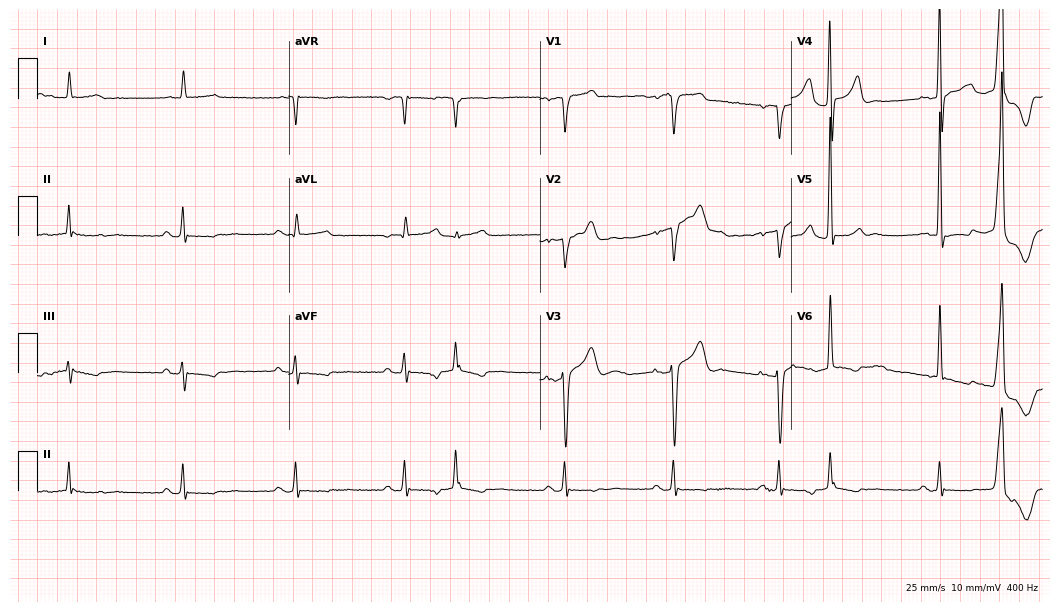
Electrocardiogram, an 85-year-old male patient. Of the six screened findings (first-degree AV block, right bundle branch block (RBBB), left bundle branch block (LBBB), sinus bradycardia, atrial fibrillation (AF), sinus tachycardia), none is recorded.